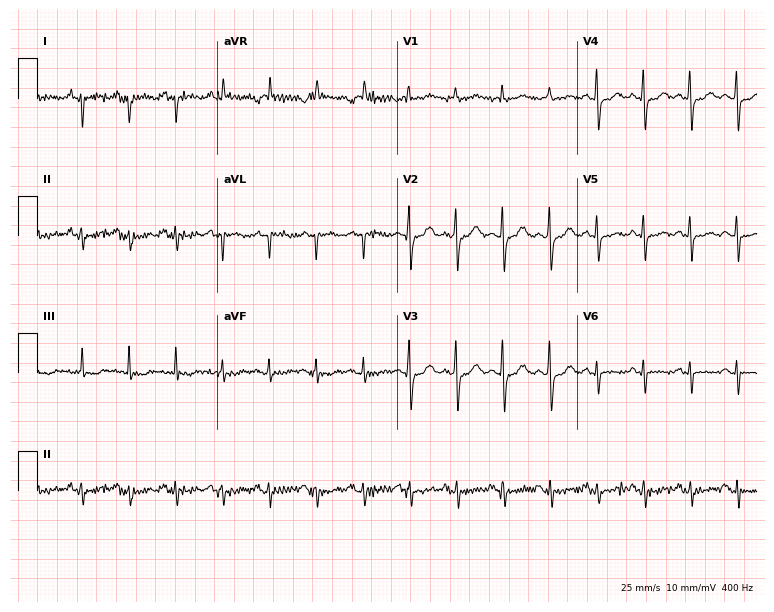
ECG — a 65-year-old female patient. Findings include sinus tachycardia (a sinus rate of 100 beats per minute or more).